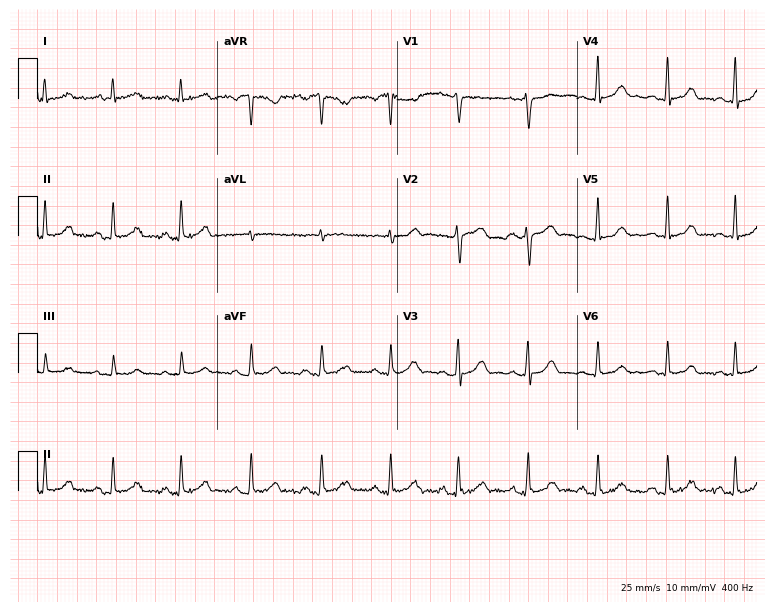
ECG — a 37-year-old woman. Screened for six findings — first-degree AV block, right bundle branch block (RBBB), left bundle branch block (LBBB), sinus bradycardia, atrial fibrillation (AF), sinus tachycardia — none is recorded. Only these six findings were labelled.